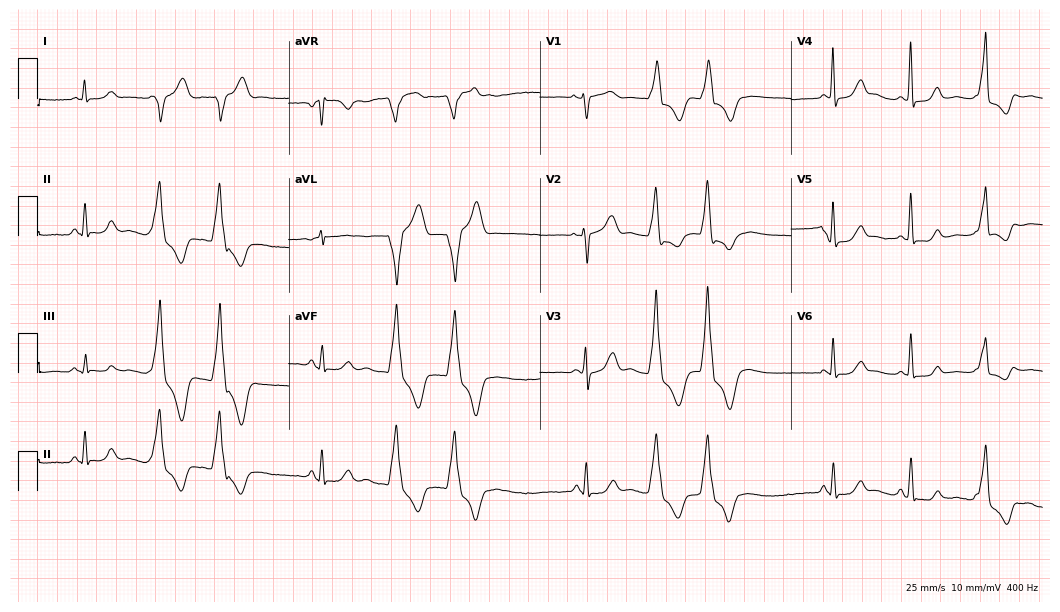
ECG — a 59-year-old female patient. Screened for six findings — first-degree AV block, right bundle branch block (RBBB), left bundle branch block (LBBB), sinus bradycardia, atrial fibrillation (AF), sinus tachycardia — none is recorded.